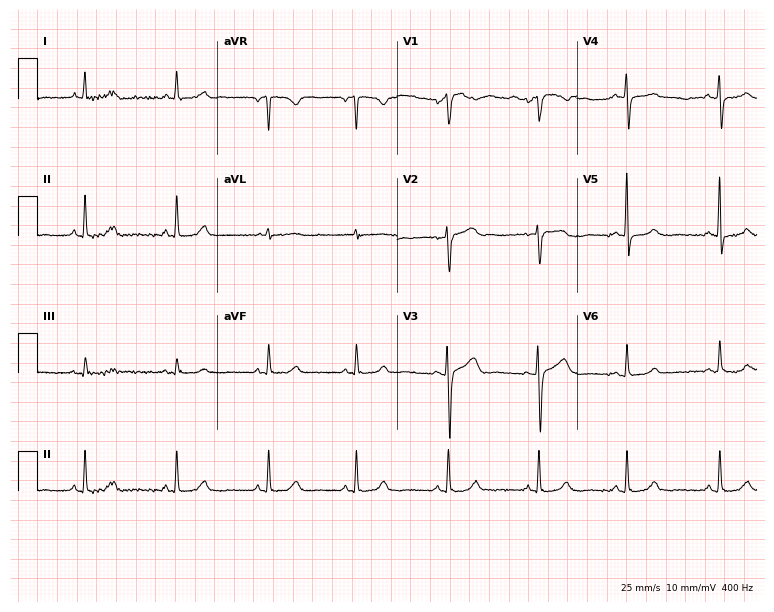
ECG (7.3-second recording at 400 Hz) — a female, 56 years old. Labelled as a normal ECG.